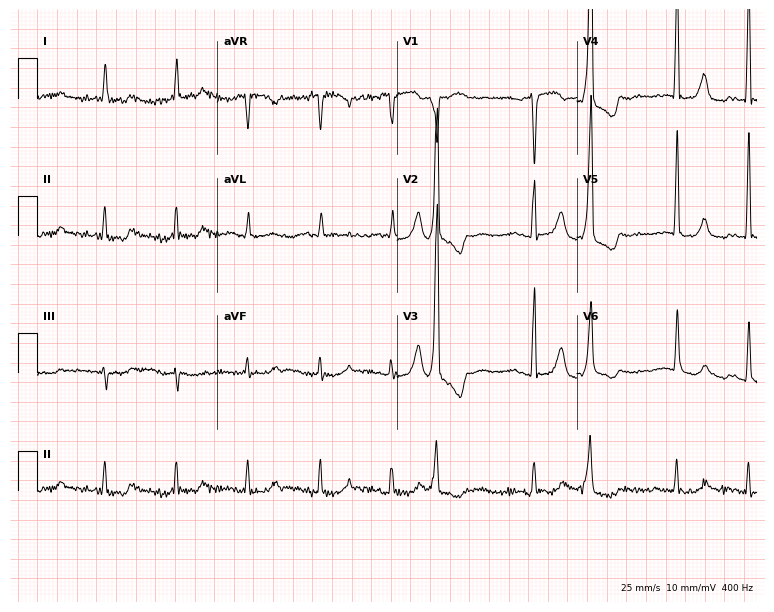
Standard 12-lead ECG recorded from an 85-year-old female. None of these six findings is recorded: first-degree AV block, right bundle branch block, left bundle branch block, sinus bradycardia, atrial fibrillation, sinus tachycardia.